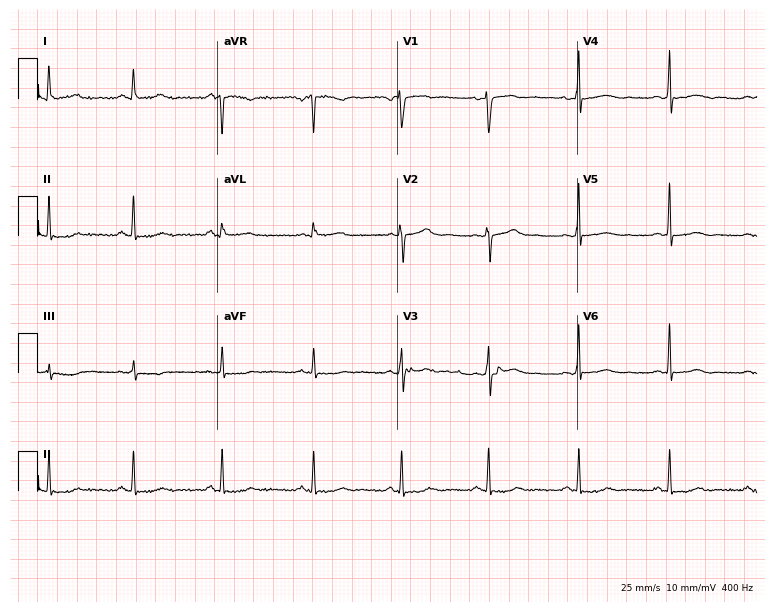
Resting 12-lead electrocardiogram (7.3-second recording at 400 Hz). Patient: a 41-year-old female. None of these six findings is recorded: first-degree AV block, right bundle branch block, left bundle branch block, sinus bradycardia, atrial fibrillation, sinus tachycardia.